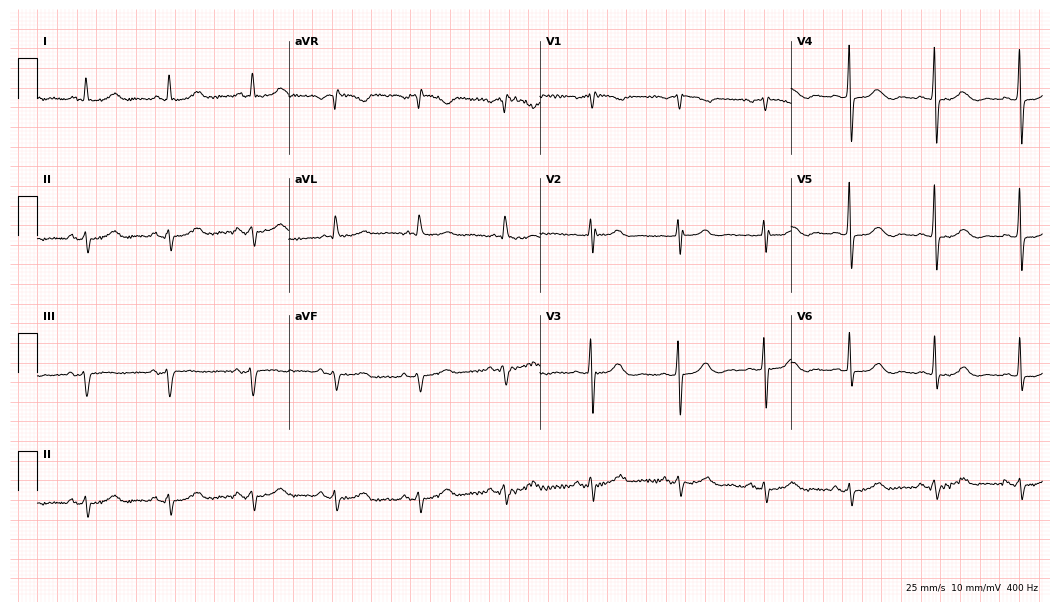
12-lead ECG from a 70-year-old woman. Screened for six findings — first-degree AV block, right bundle branch block, left bundle branch block, sinus bradycardia, atrial fibrillation, sinus tachycardia — none is recorded. Other findings, if any, are not listed.